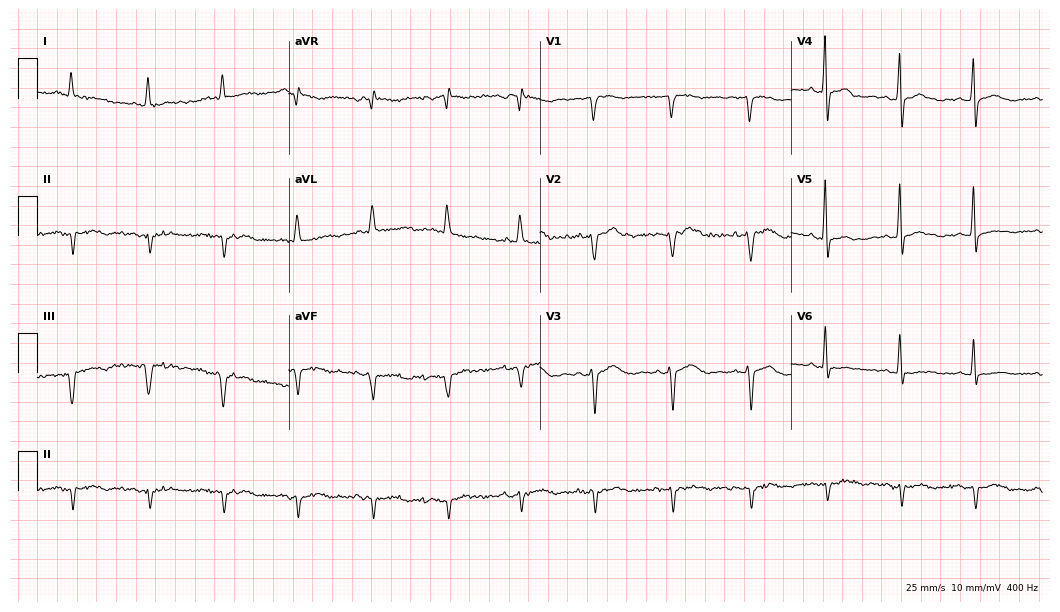
12-lead ECG (10.2-second recording at 400 Hz) from a male, 79 years old. Screened for six findings — first-degree AV block, right bundle branch block (RBBB), left bundle branch block (LBBB), sinus bradycardia, atrial fibrillation (AF), sinus tachycardia — none is recorded. Other findings, if any, are not listed.